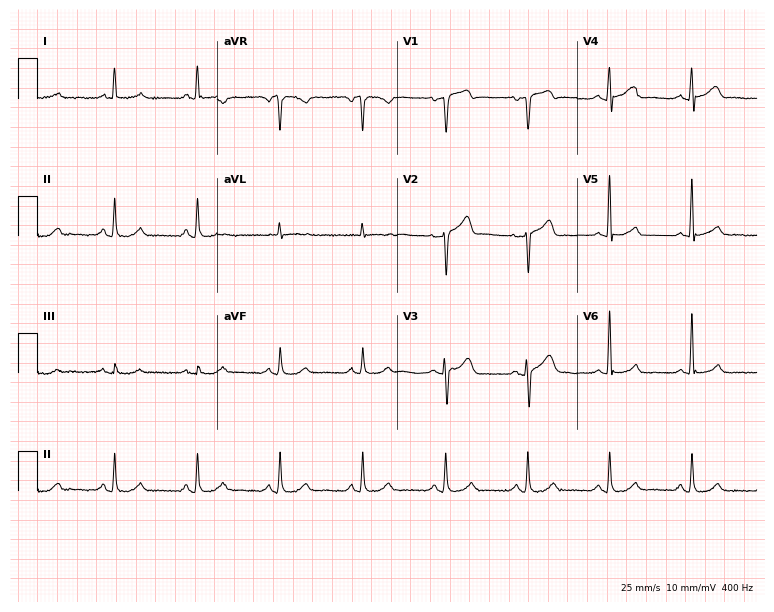
Standard 12-lead ECG recorded from a male, 72 years old (7.3-second recording at 400 Hz). Read as a normal ECG.